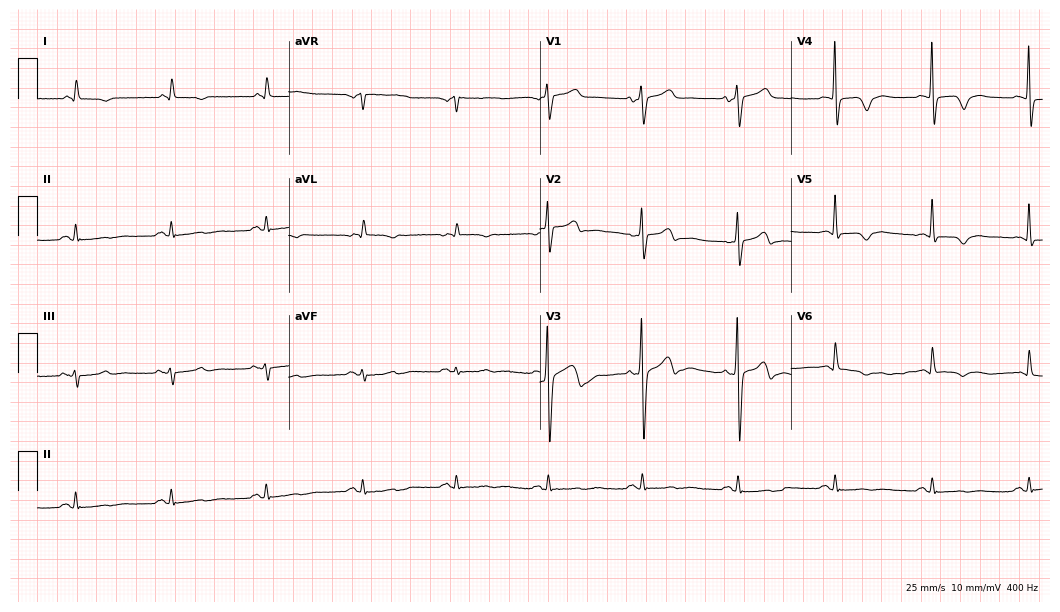
12-lead ECG from a 64-year-old man. No first-degree AV block, right bundle branch block, left bundle branch block, sinus bradycardia, atrial fibrillation or sinus tachycardia recorded for this tracing. Findings outside these six are not listed.